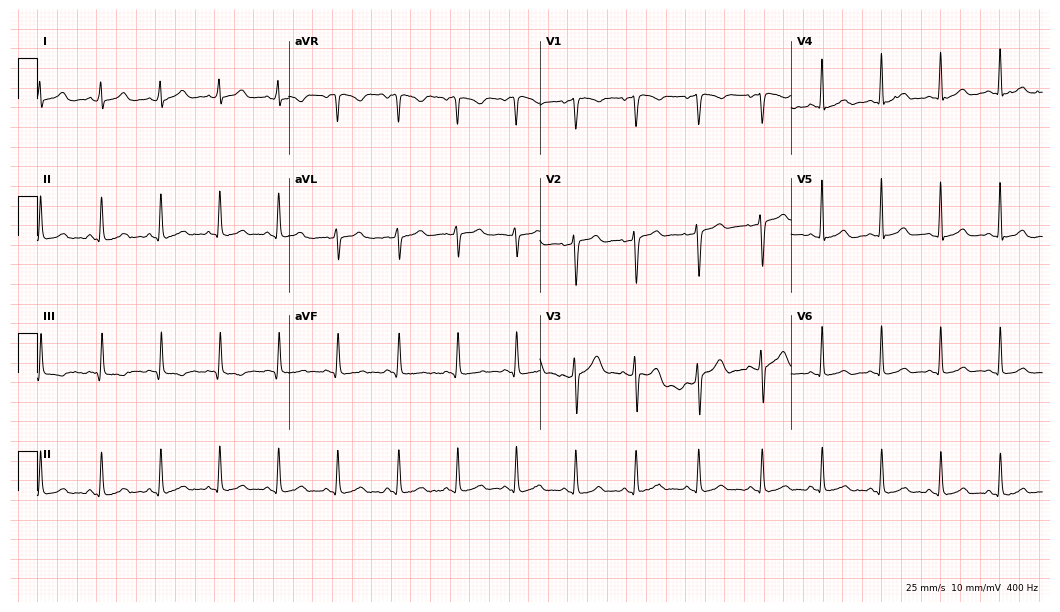
12-lead ECG (10.2-second recording at 400 Hz) from a 23-year-old female. Labelled as a normal ECG.